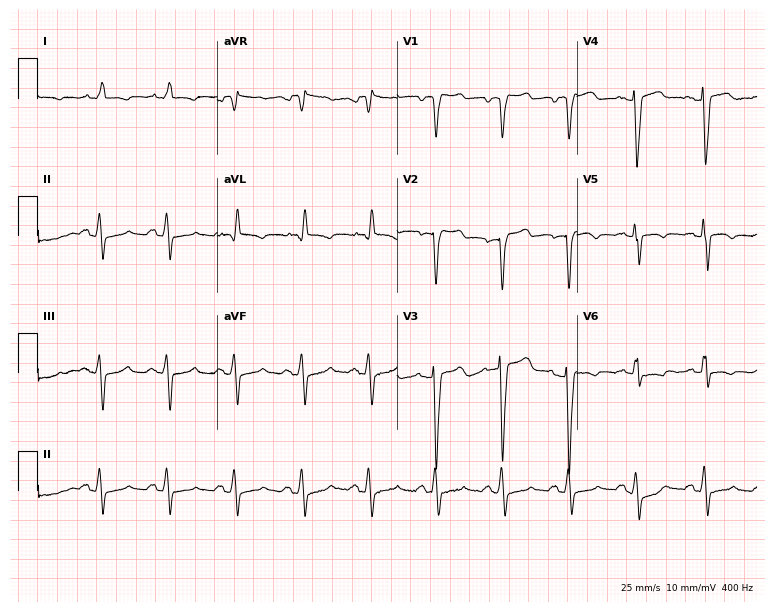
ECG (7.3-second recording at 400 Hz) — a 48-year-old woman. Screened for six findings — first-degree AV block, right bundle branch block (RBBB), left bundle branch block (LBBB), sinus bradycardia, atrial fibrillation (AF), sinus tachycardia — none is recorded. Findings outside these six are not listed.